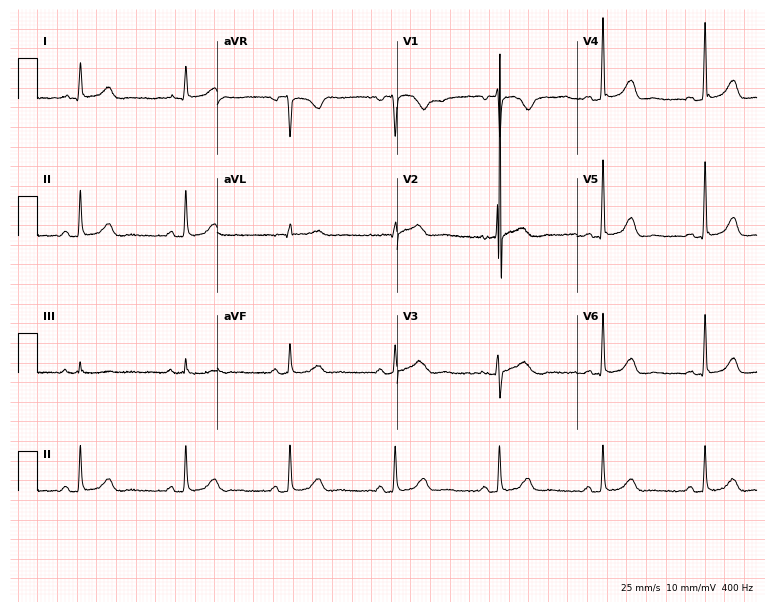
Electrocardiogram (7.3-second recording at 400 Hz), a 63-year-old woman. Of the six screened findings (first-degree AV block, right bundle branch block, left bundle branch block, sinus bradycardia, atrial fibrillation, sinus tachycardia), none is recorded.